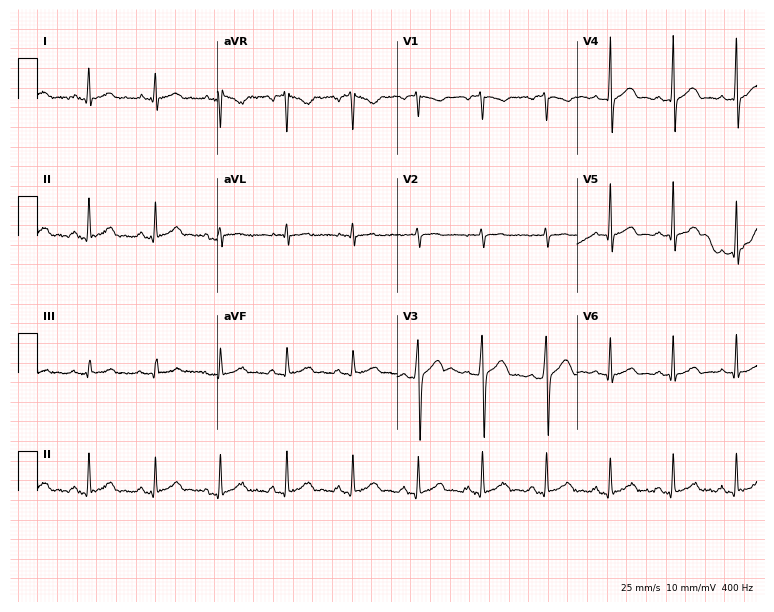
Electrocardiogram, a 39-year-old male. Overall reading on record: normal ECG.